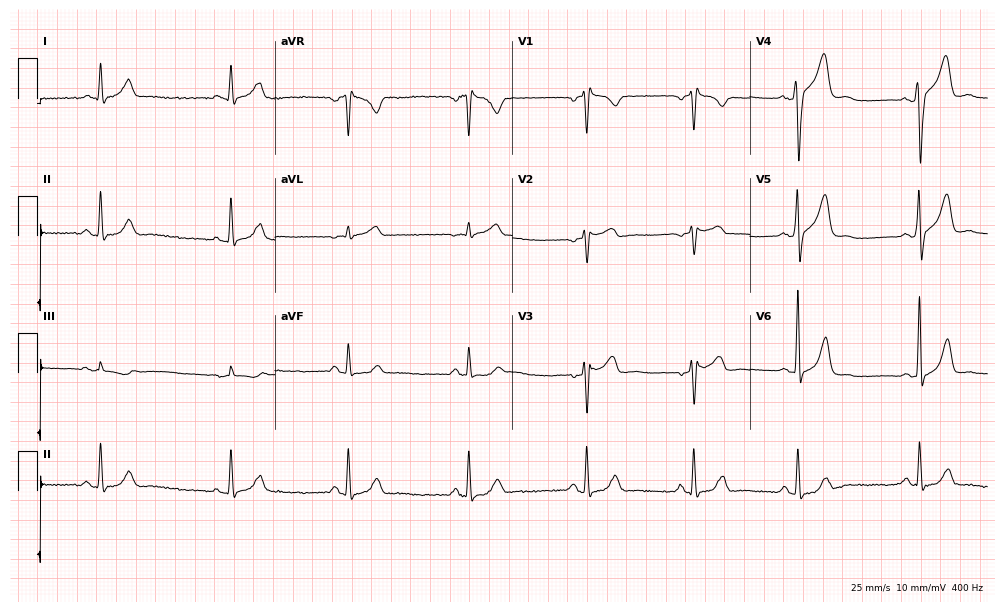
Resting 12-lead electrocardiogram. Patient: a male, 51 years old. None of these six findings is recorded: first-degree AV block, right bundle branch block, left bundle branch block, sinus bradycardia, atrial fibrillation, sinus tachycardia. Other findings, if any, are not listed.